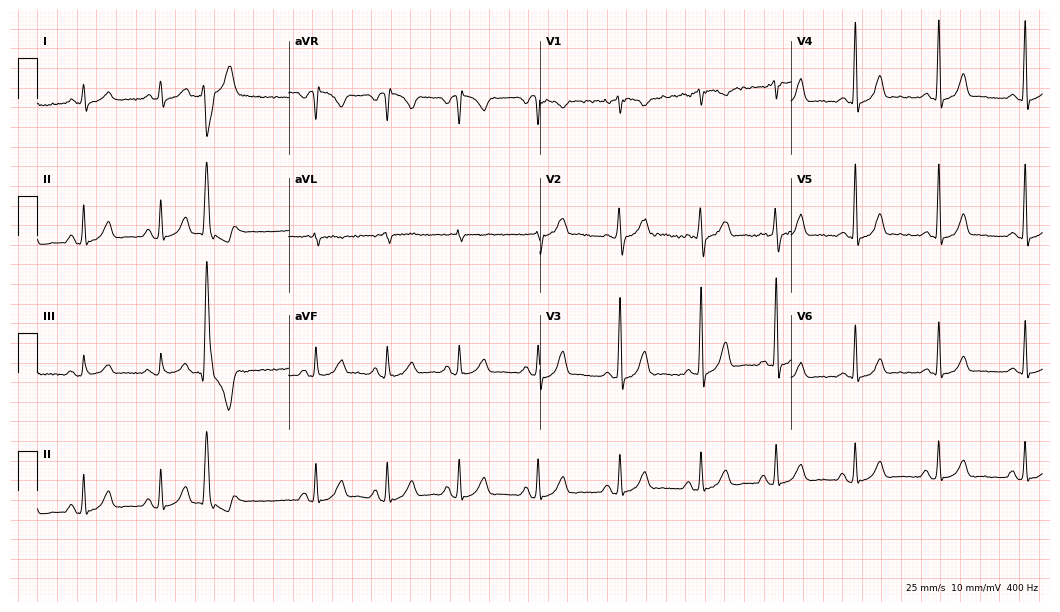
Standard 12-lead ECG recorded from a female patient, 20 years old (10.2-second recording at 400 Hz). None of these six findings is recorded: first-degree AV block, right bundle branch block, left bundle branch block, sinus bradycardia, atrial fibrillation, sinus tachycardia.